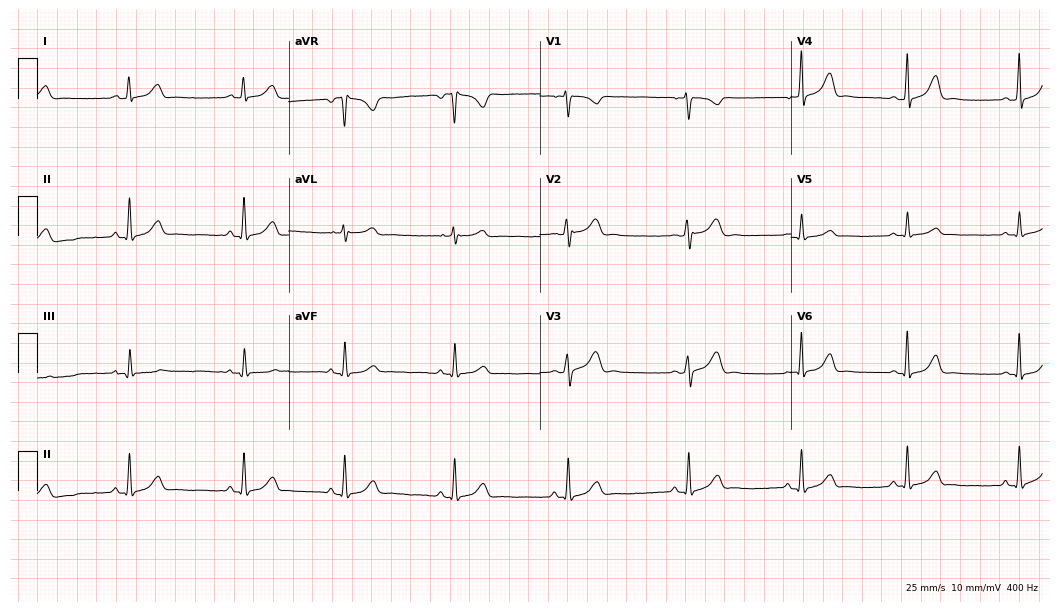
ECG — a female patient, 25 years old. Screened for six findings — first-degree AV block, right bundle branch block, left bundle branch block, sinus bradycardia, atrial fibrillation, sinus tachycardia — none is recorded. Other findings, if any, are not listed.